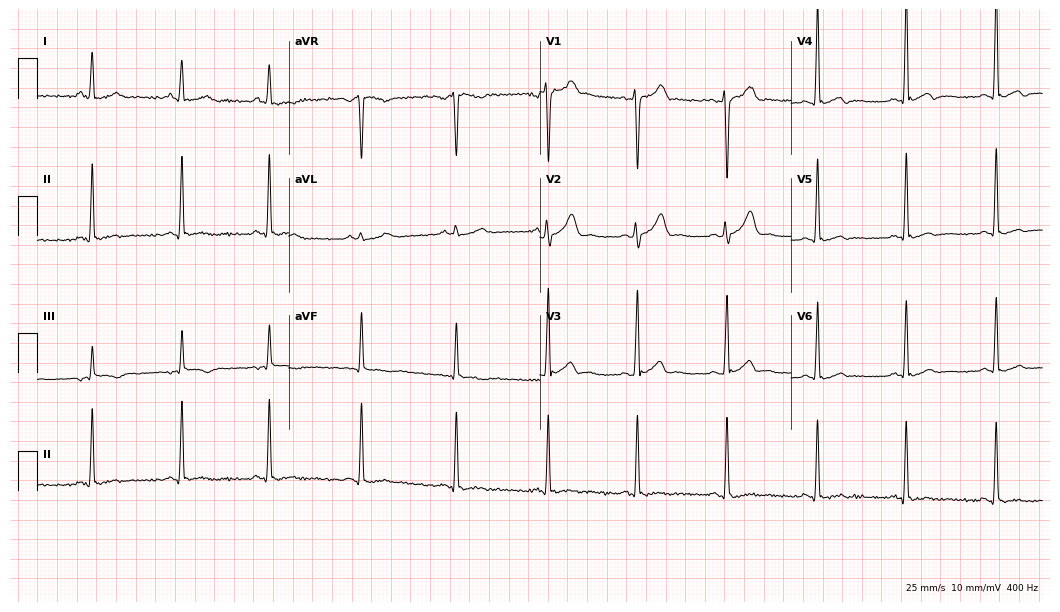
12-lead ECG from a 21-year-old man. Screened for six findings — first-degree AV block, right bundle branch block, left bundle branch block, sinus bradycardia, atrial fibrillation, sinus tachycardia — none is recorded.